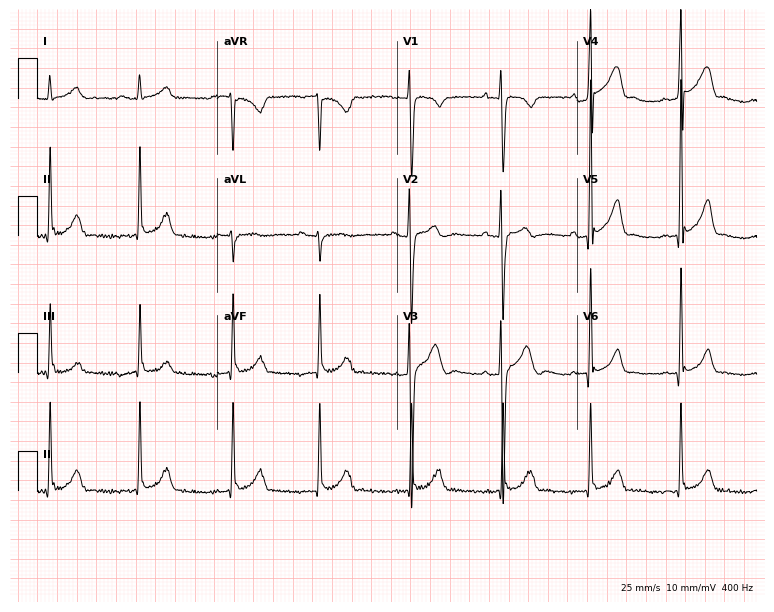
ECG — a male, 18 years old. Screened for six findings — first-degree AV block, right bundle branch block (RBBB), left bundle branch block (LBBB), sinus bradycardia, atrial fibrillation (AF), sinus tachycardia — none is recorded.